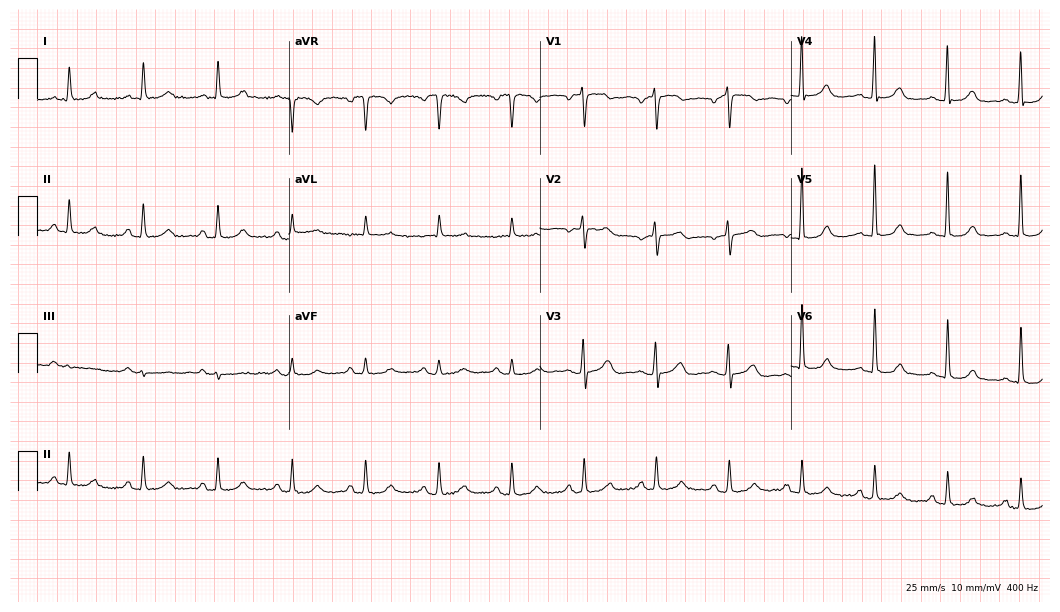
Electrocardiogram (10.2-second recording at 400 Hz), an 82-year-old female patient. Overall reading on record: normal ECG.